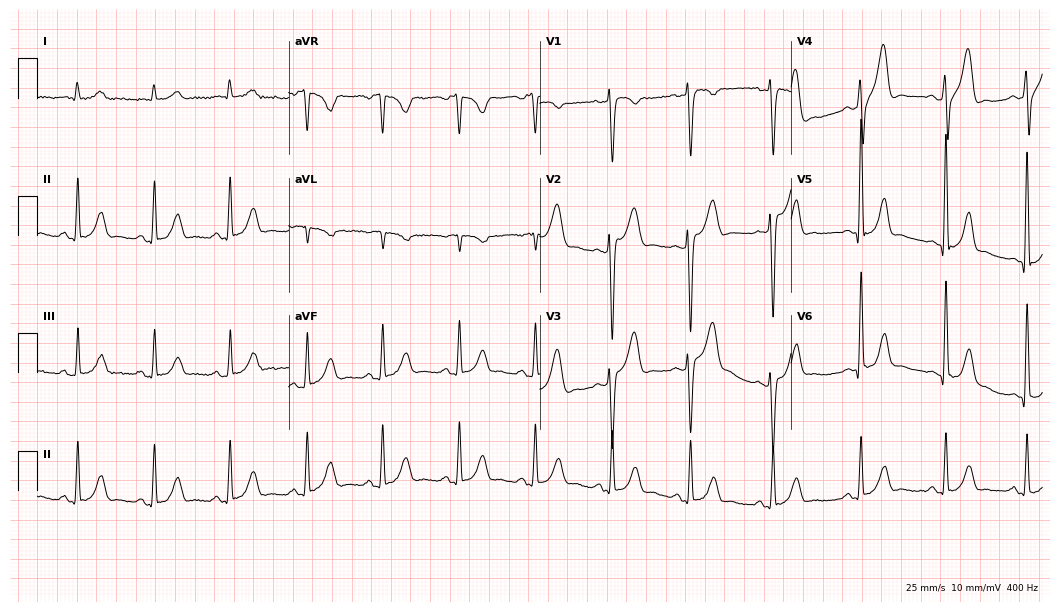
ECG — a male, 30 years old. Screened for six findings — first-degree AV block, right bundle branch block, left bundle branch block, sinus bradycardia, atrial fibrillation, sinus tachycardia — none is recorded. Only these six findings were labelled.